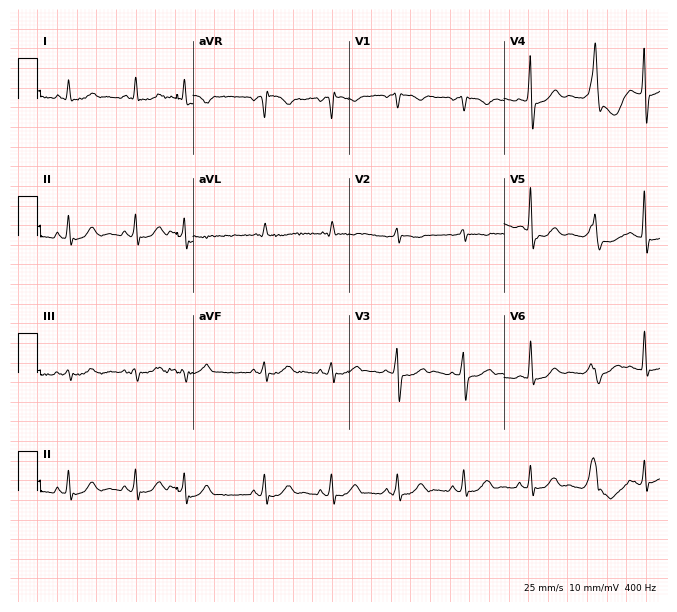
Electrocardiogram, an 82-year-old male patient. Of the six screened findings (first-degree AV block, right bundle branch block, left bundle branch block, sinus bradycardia, atrial fibrillation, sinus tachycardia), none is recorded. Only these six findings were labelled.